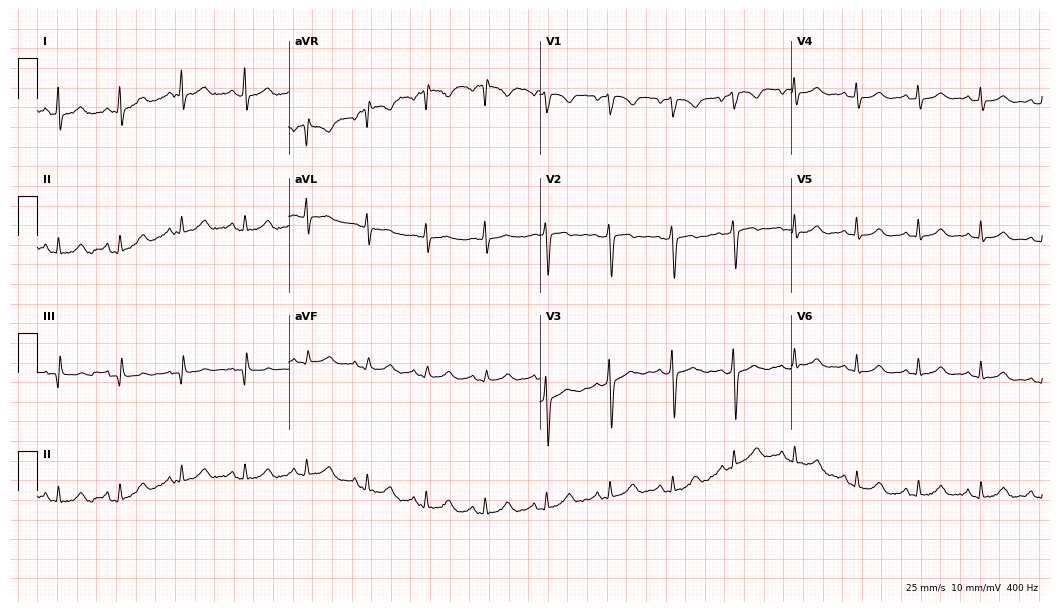
Resting 12-lead electrocardiogram. Patient: a 28-year-old female. Read as a normal ECG.